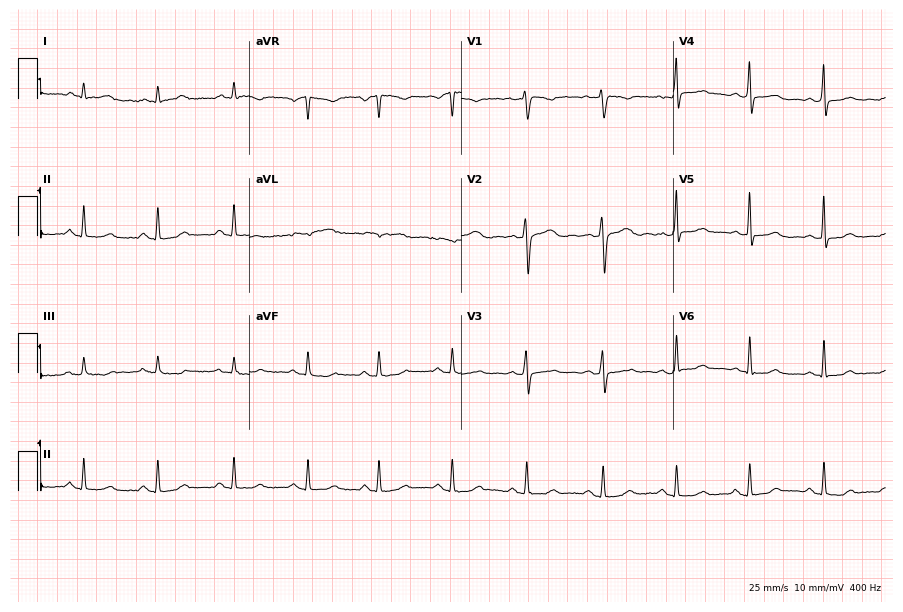
ECG — a female patient, 41 years old. Labelled as a normal ECG.